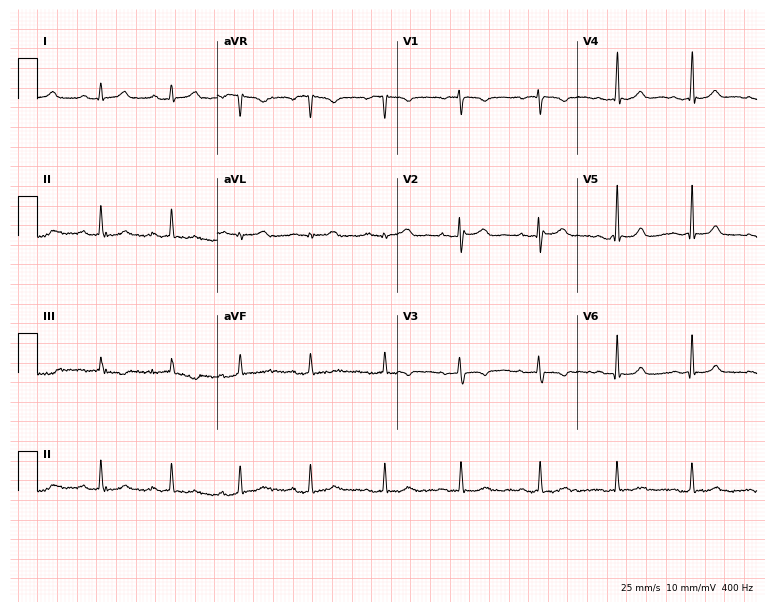
ECG — a female, 25 years old. Screened for six findings — first-degree AV block, right bundle branch block (RBBB), left bundle branch block (LBBB), sinus bradycardia, atrial fibrillation (AF), sinus tachycardia — none is recorded.